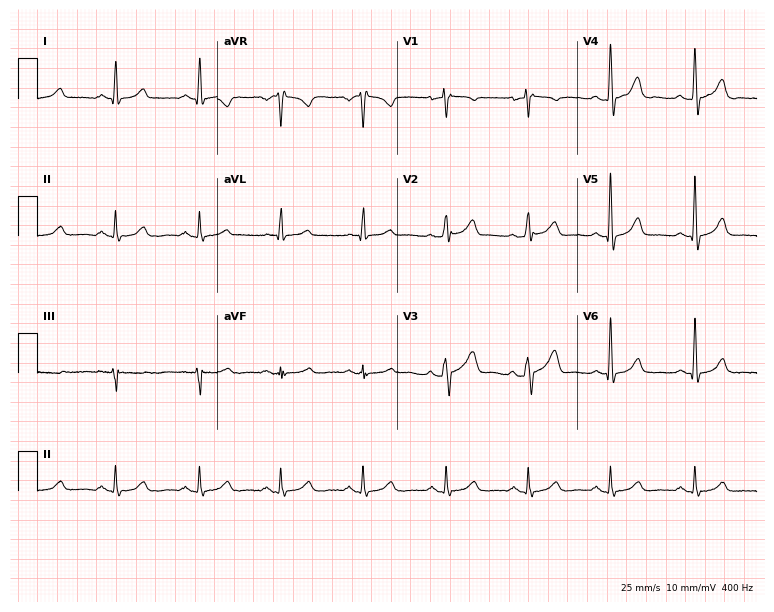
Electrocardiogram, a 51-year-old woman. Overall reading on record: normal ECG.